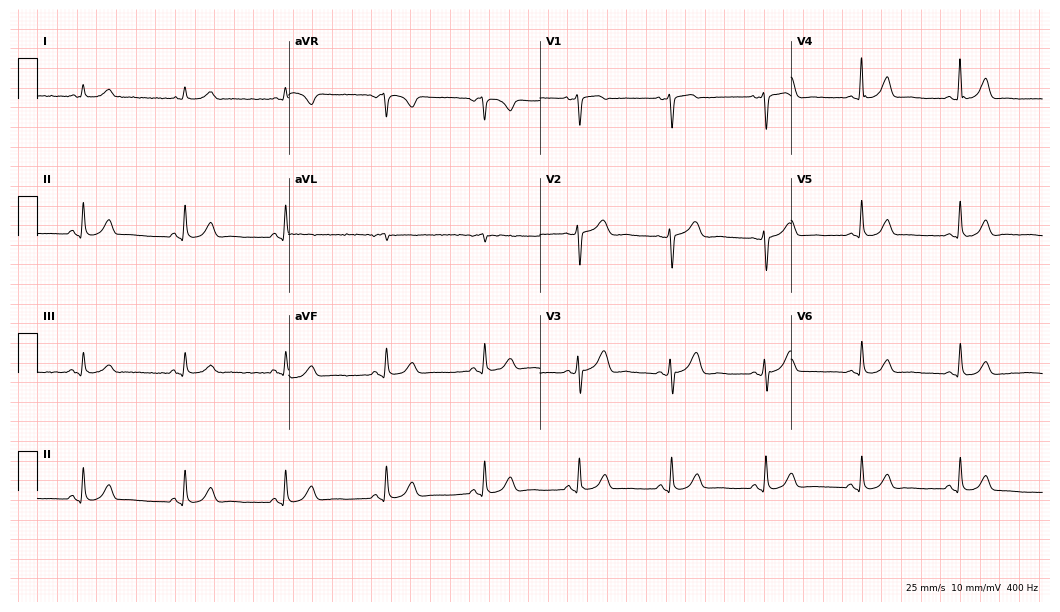
ECG — a 59-year-old female patient. Labelled as a normal ECG.